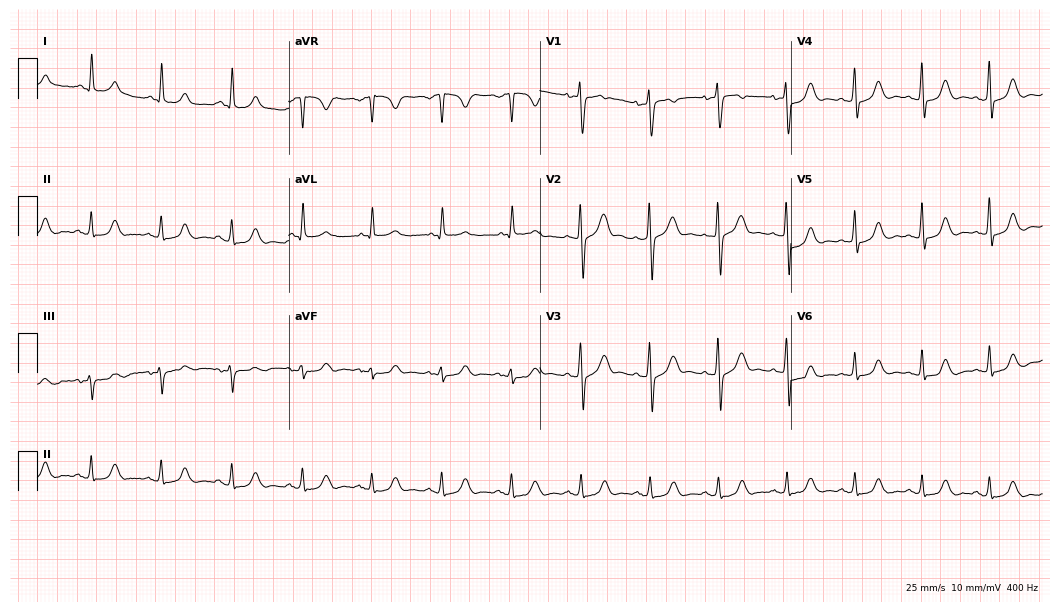
Electrocardiogram (10.2-second recording at 400 Hz), a 61-year-old male. Overall reading on record: normal ECG.